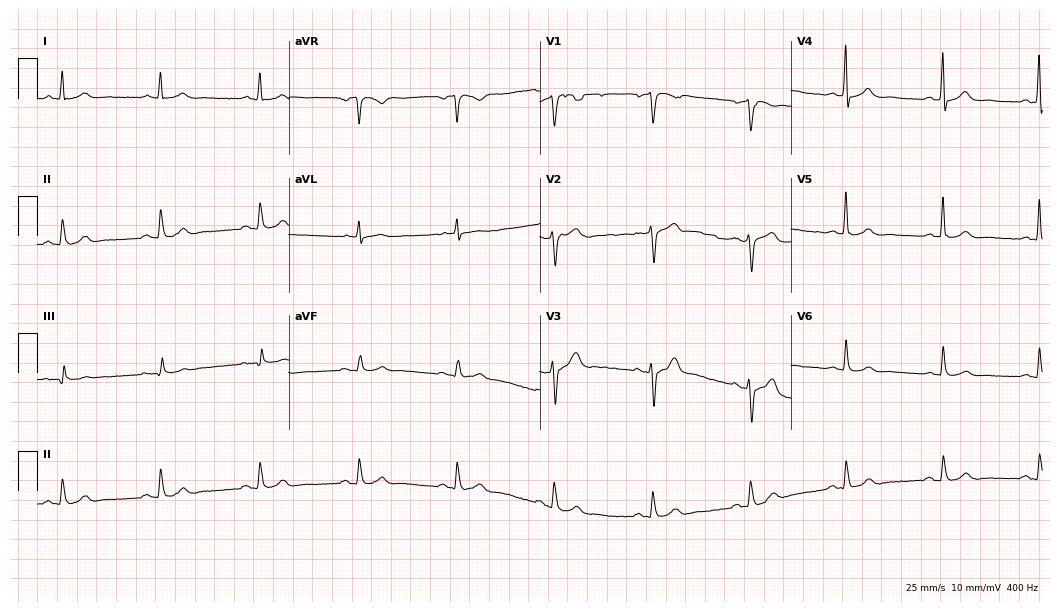
12-lead ECG from a 66-year-old male. Labelled as a normal ECG.